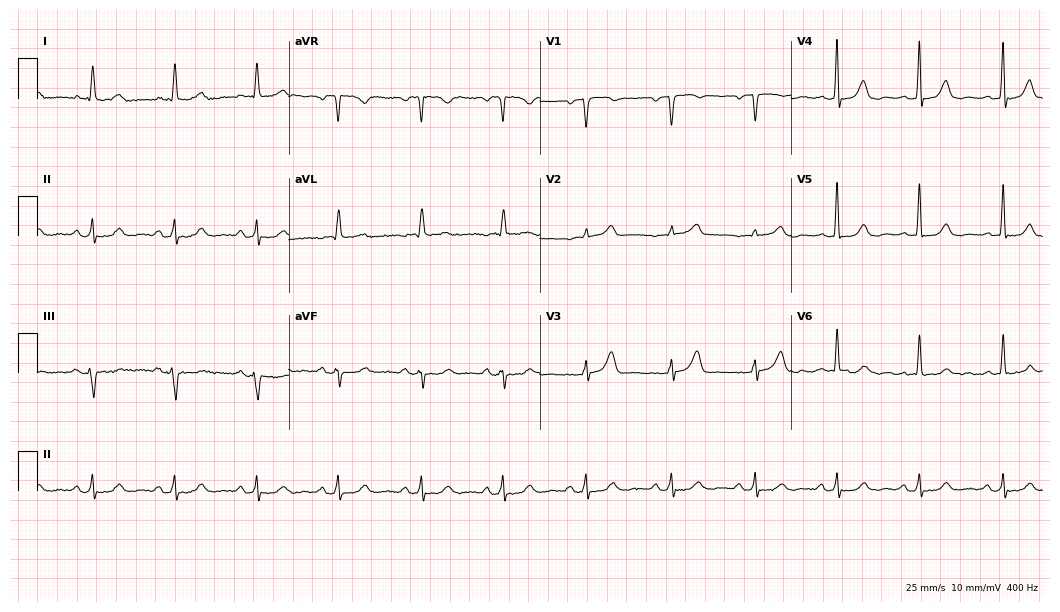
Resting 12-lead electrocardiogram (10.2-second recording at 400 Hz). Patient: a 64-year-old female. None of these six findings is recorded: first-degree AV block, right bundle branch block, left bundle branch block, sinus bradycardia, atrial fibrillation, sinus tachycardia.